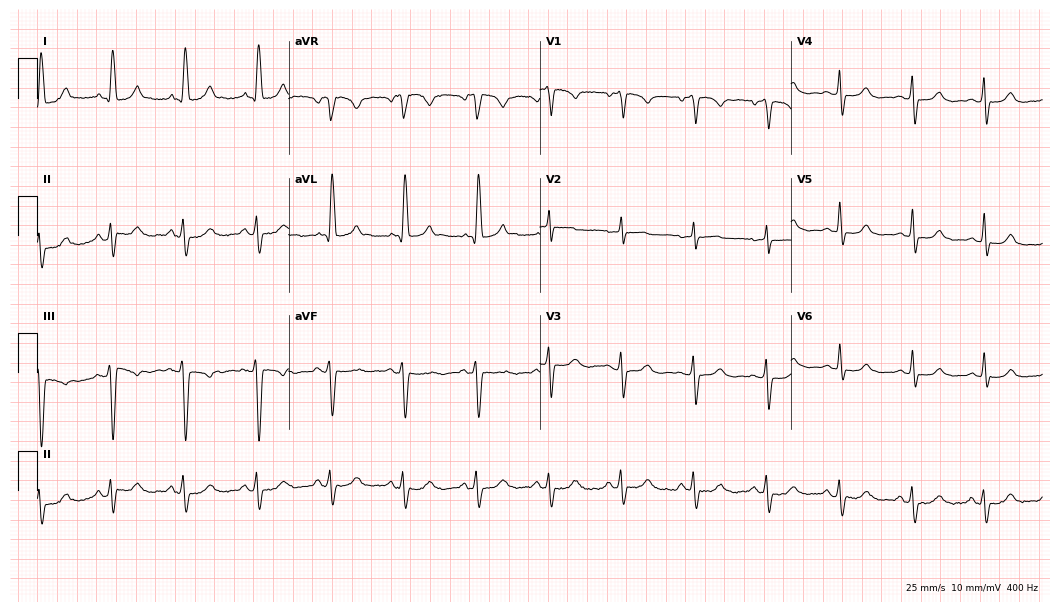
Standard 12-lead ECG recorded from a female patient, 82 years old. None of these six findings is recorded: first-degree AV block, right bundle branch block (RBBB), left bundle branch block (LBBB), sinus bradycardia, atrial fibrillation (AF), sinus tachycardia. Only these six findings were labelled.